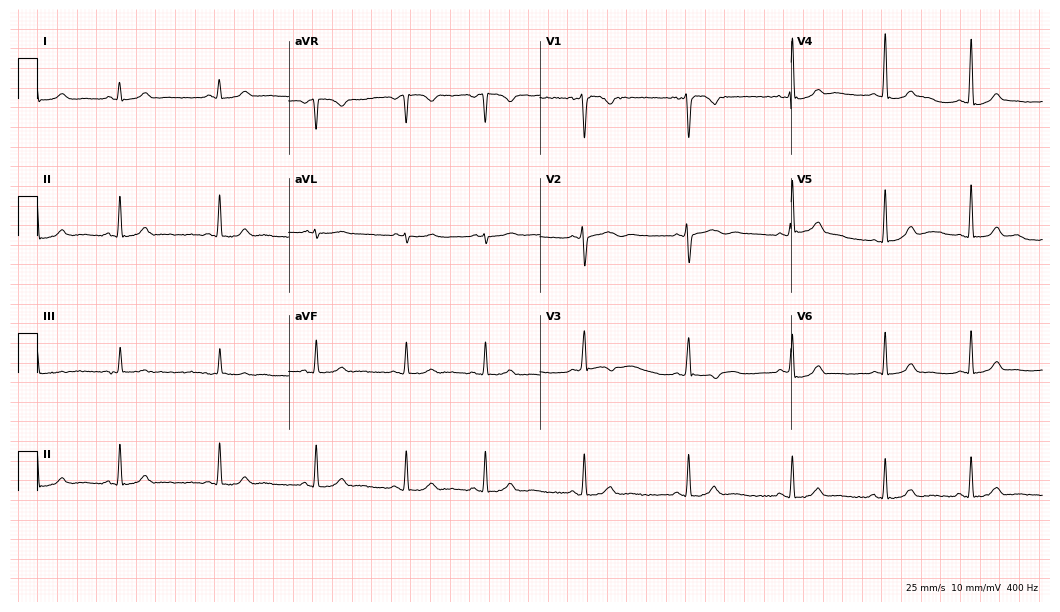
12-lead ECG from a 20-year-old female patient. Recorded interpretation: within normal limits.